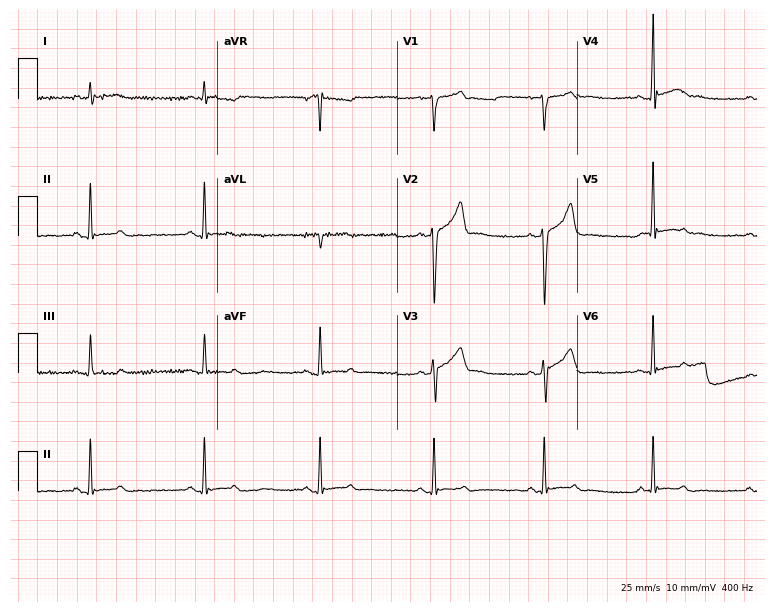
12-lead ECG from a male patient, 39 years old. Recorded interpretation: within normal limits.